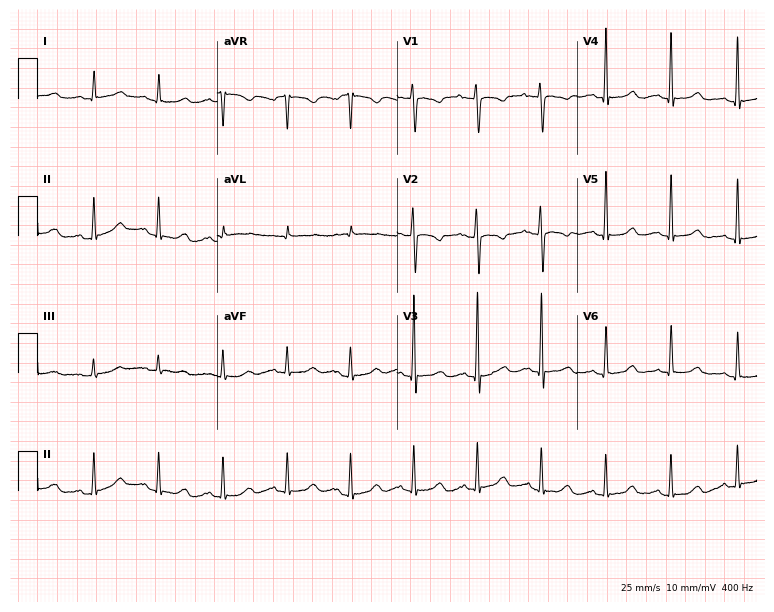
Electrocardiogram, a female patient, 47 years old. Of the six screened findings (first-degree AV block, right bundle branch block, left bundle branch block, sinus bradycardia, atrial fibrillation, sinus tachycardia), none is recorded.